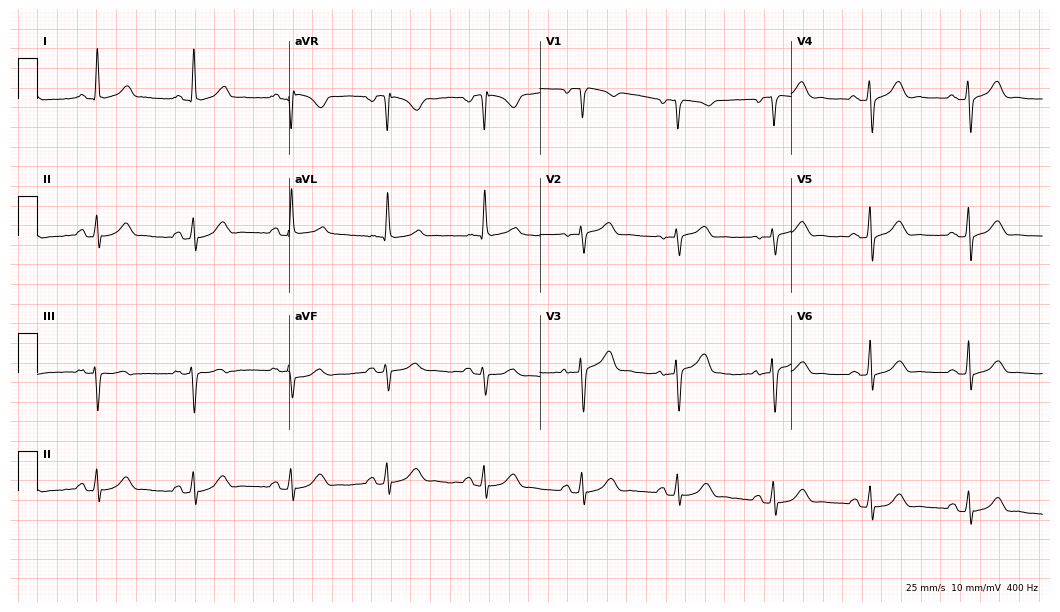
ECG (10.2-second recording at 400 Hz) — a 57-year-old female. Labelled as a normal ECG.